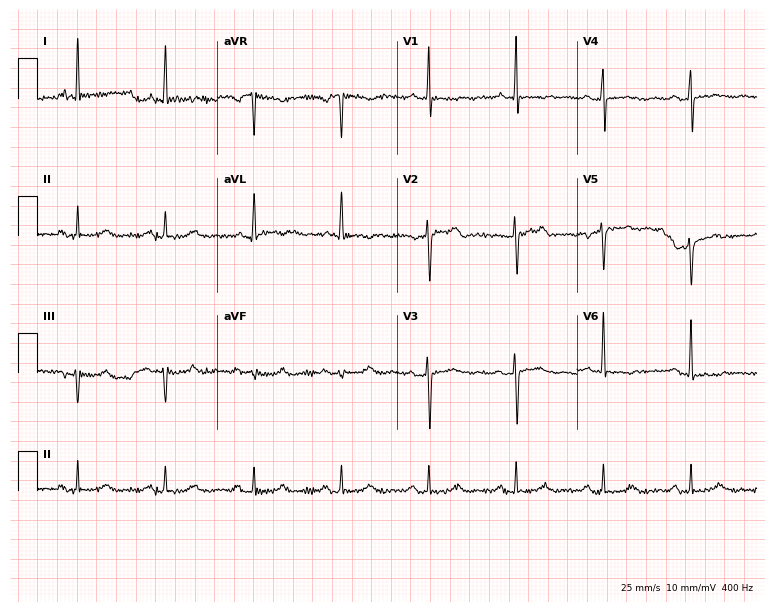
ECG — a 69-year-old woman. Screened for six findings — first-degree AV block, right bundle branch block (RBBB), left bundle branch block (LBBB), sinus bradycardia, atrial fibrillation (AF), sinus tachycardia — none is recorded. Findings outside these six are not listed.